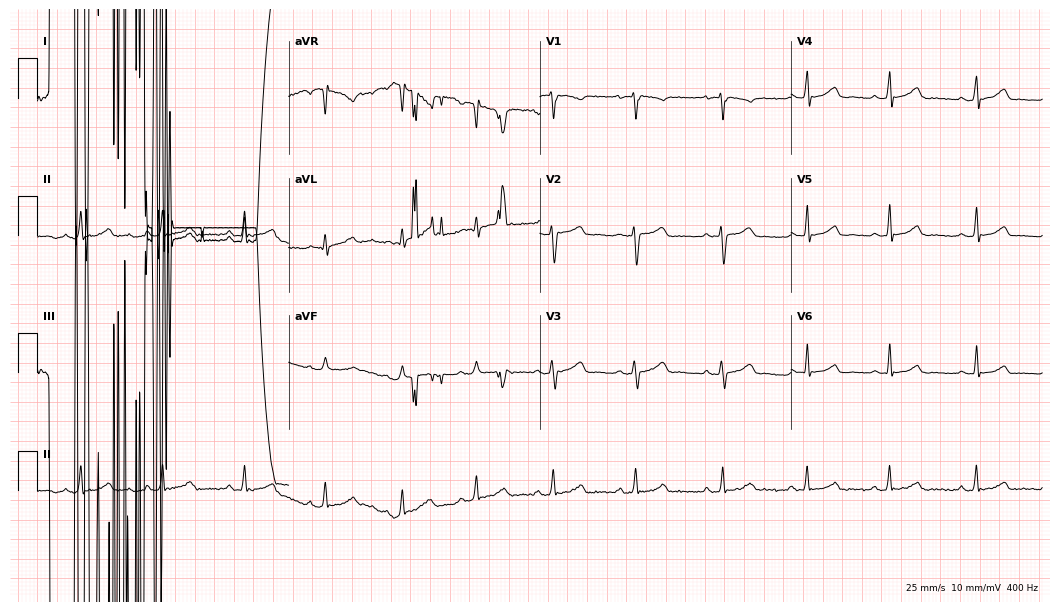
12-lead ECG (10.2-second recording at 400 Hz) from a female patient, 24 years old. Screened for six findings — first-degree AV block, right bundle branch block, left bundle branch block, sinus bradycardia, atrial fibrillation, sinus tachycardia — none is recorded.